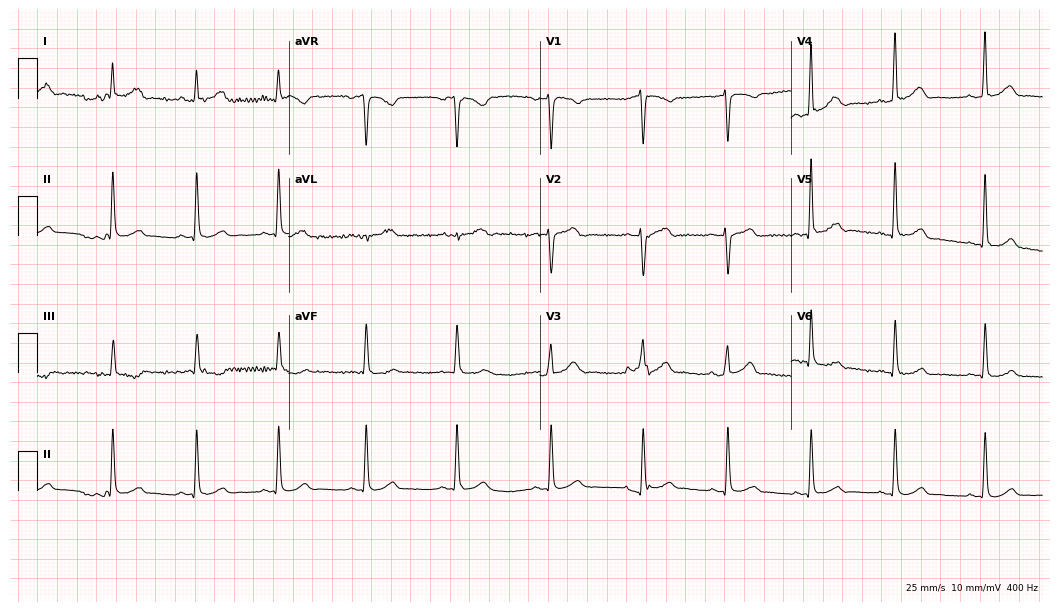
Standard 12-lead ECG recorded from a 48-year-old man (10.2-second recording at 400 Hz). Read as a normal ECG.